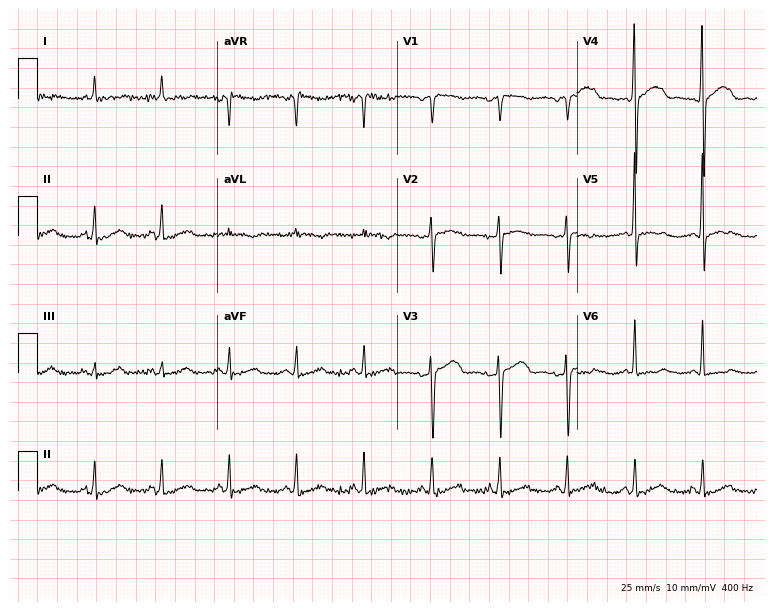
Standard 12-lead ECG recorded from a female patient, 68 years old. None of these six findings is recorded: first-degree AV block, right bundle branch block (RBBB), left bundle branch block (LBBB), sinus bradycardia, atrial fibrillation (AF), sinus tachycardia. Only these six findings were labelled.